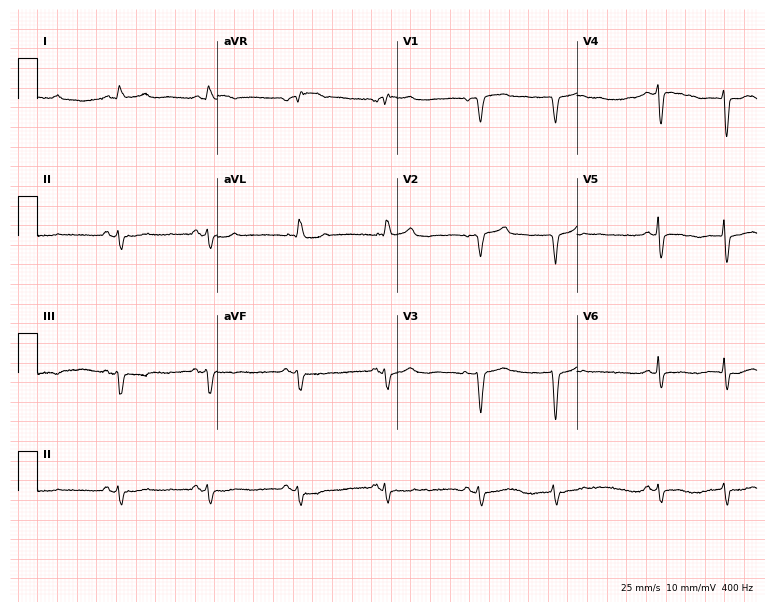
ECG (7.3-second recording at 400 Hz) — a 78-year-old male. Screened for six findings — first-degree AV block, right bundle branch block, left bundle branch block, sinus bradycardia, atrial fibrillation, sinus tachycardia — none is recorded. Other findings, if any, are not listed.